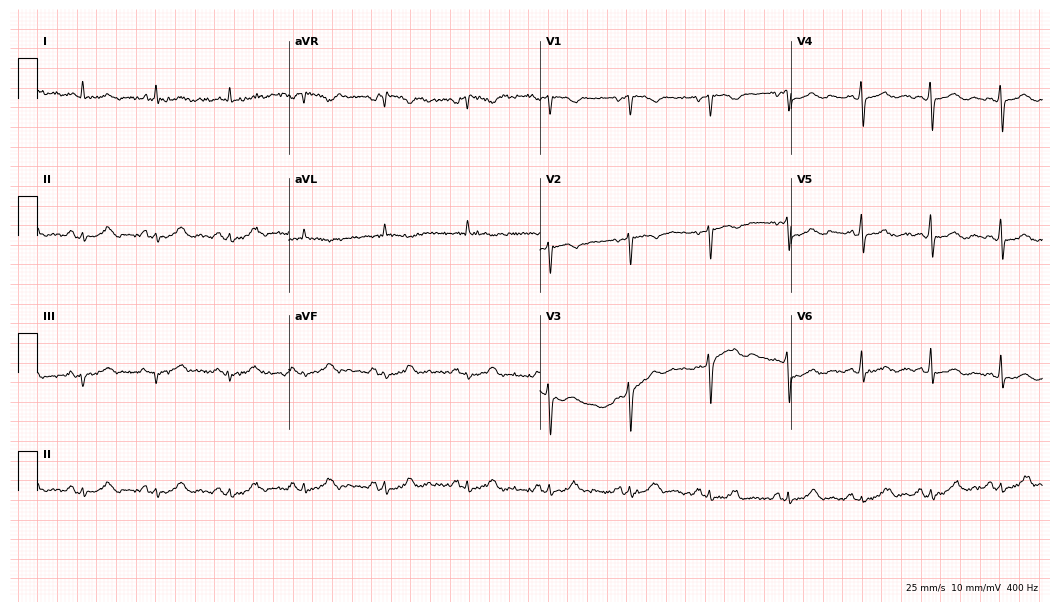
ECG — a 40-year-old female patient. Screened for six findings — first-degree AV block, right bundle branch block, left bundle branch block, sinus bradycardia, atrial fibrillation, sinus tachycardia — none is recorded.